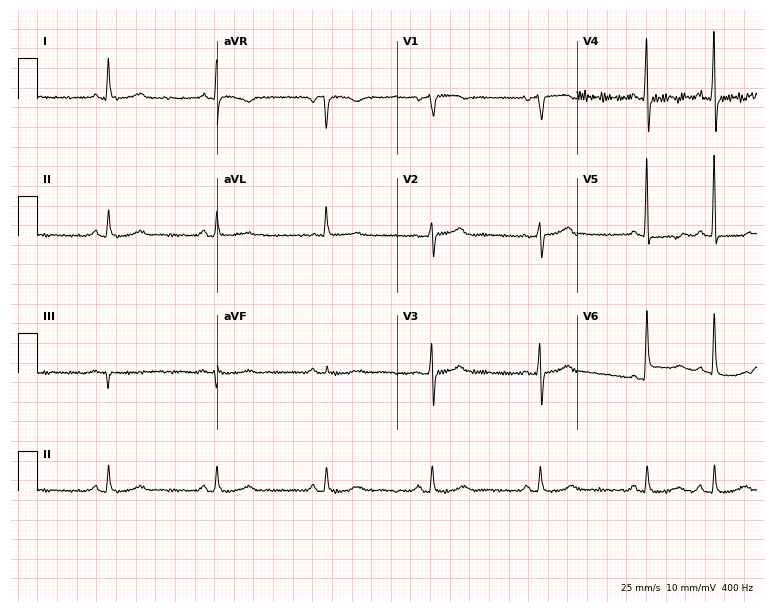
12-lead ECG from a 71-year-old female patient. Screened for six findings — first-degree AV block, right bundle branch block, left bundle branch block, sinus bradycardia, atrial fibrillation, sinus tachycardia — none is recorded. Findings outside these six are not listed.